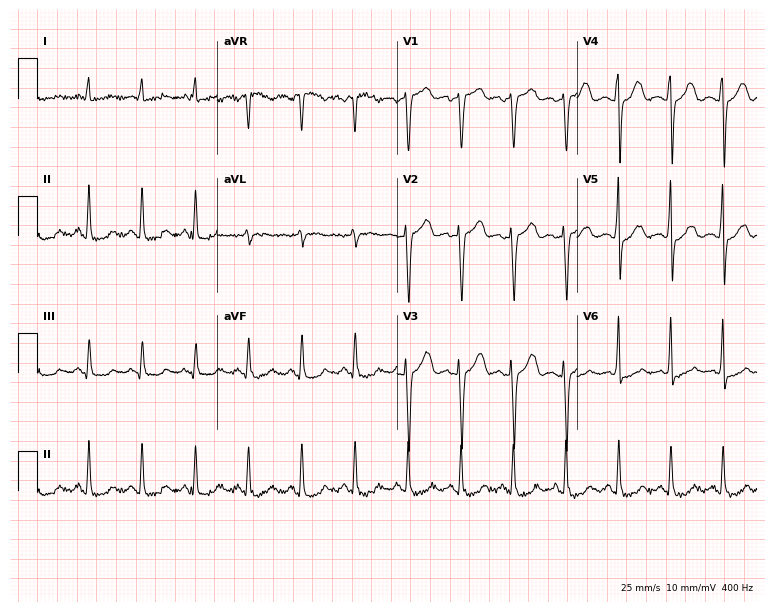
Resting 12-lead electrocardiogram. Patient: a female, 71 years old. The tracing shows sinus tachycardia (a sinus rate of 100 beats per minute or more).